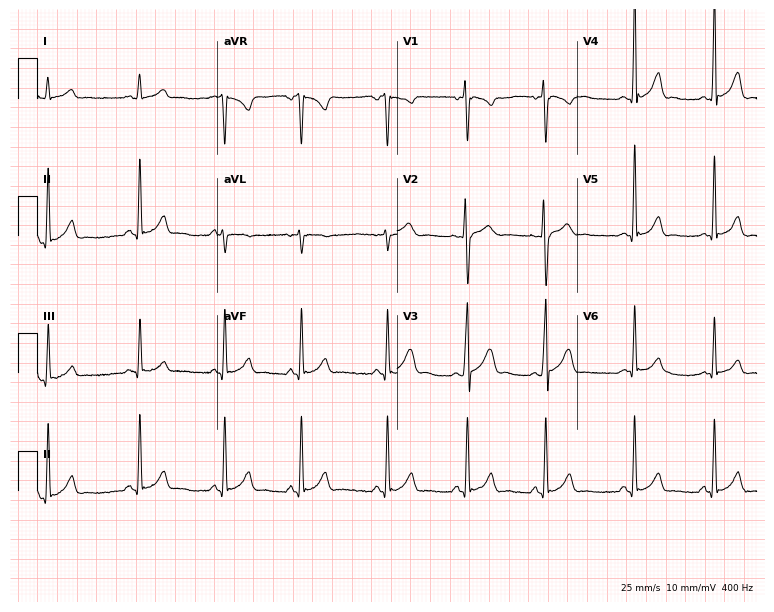
12-lead ECG from a male patient, 17 years old (7.3-second recording at 400 Hz). Recorded interpretation: within normal limits.